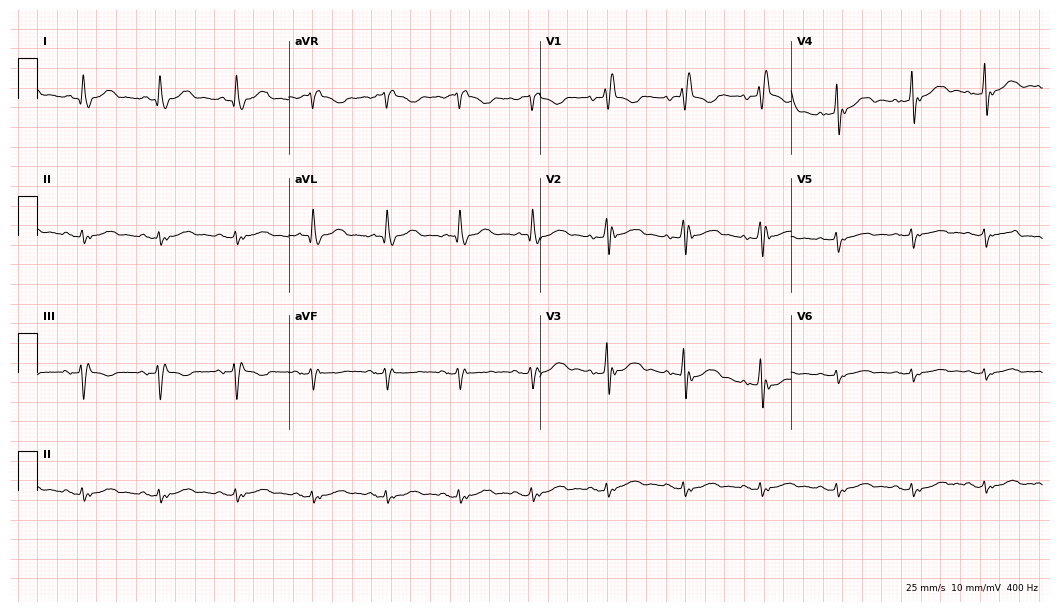
Electrocardiogram, an 80-year-old female patient. Interpretation includes right bundle branch block.